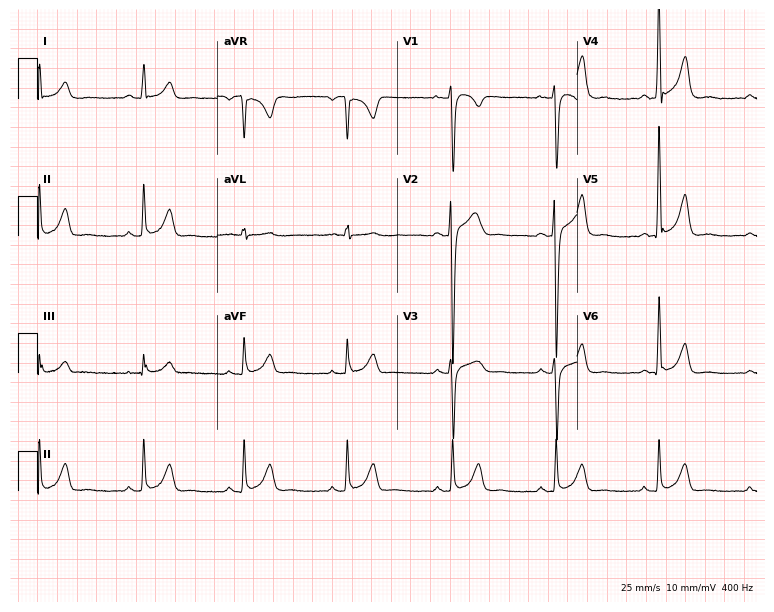
Standard 12-lead ECG recorded from a male patient, 38 years old (7.3-second recording at 400 Hz). Read as a normal ECG.